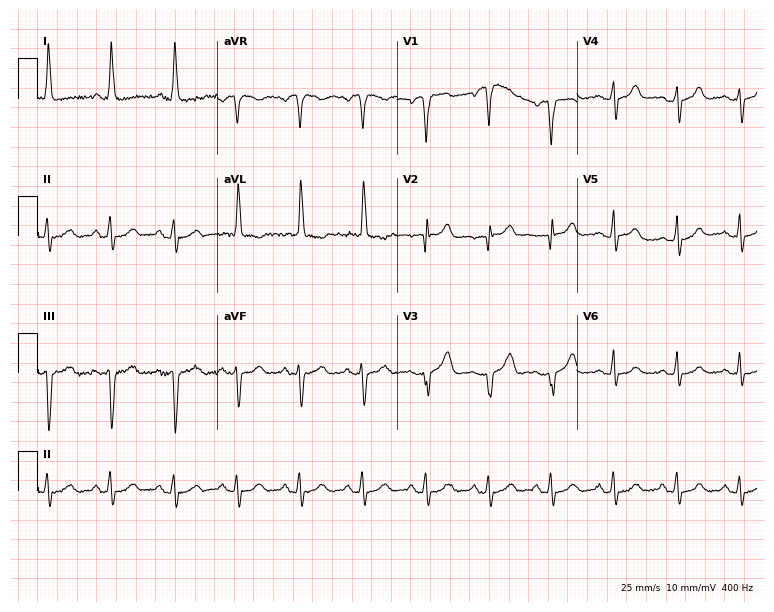
Standard 12-lead ECG recorded from a female patient, 75 years old. Read as a normal ECG.